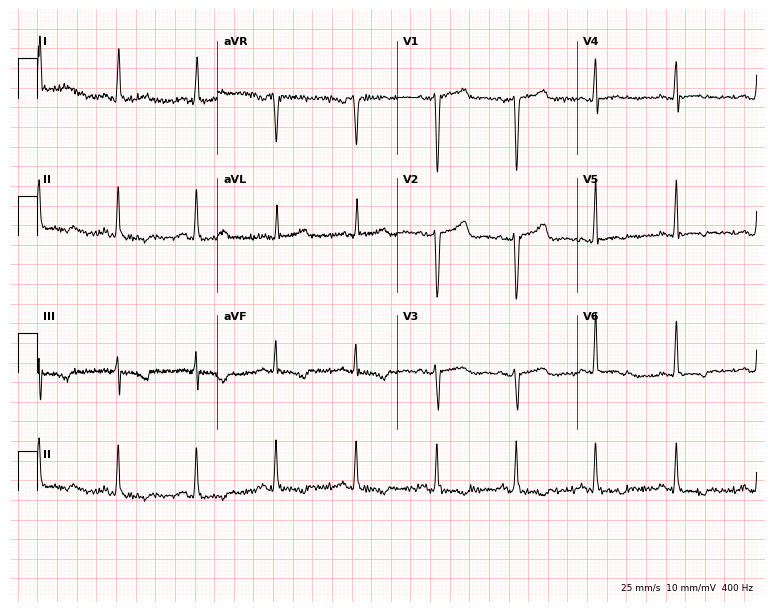
Standard 12-lead ECG recorded from a 58-year-old woman. None of these six findings is recorded: first-degree AV block, right bundle branch block (RBBB), left bundle branch block (LBBB), sinus bradycardia, atrial fibrillation (AF), sinus tachycardia. Only these six findings were labelled.